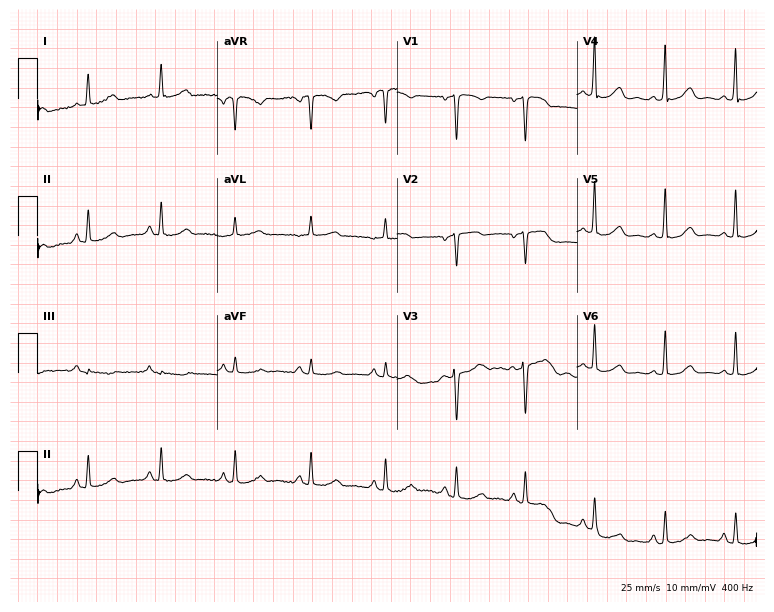
12-lead ECG from a 47-year-old female patient. No first-degree AV block, right bundle branch block, left bundle branch block, sinus bradycardia, atrial fibrillation or sinus tachycardia recorded for this tracing. Findings outside these six are not listed.